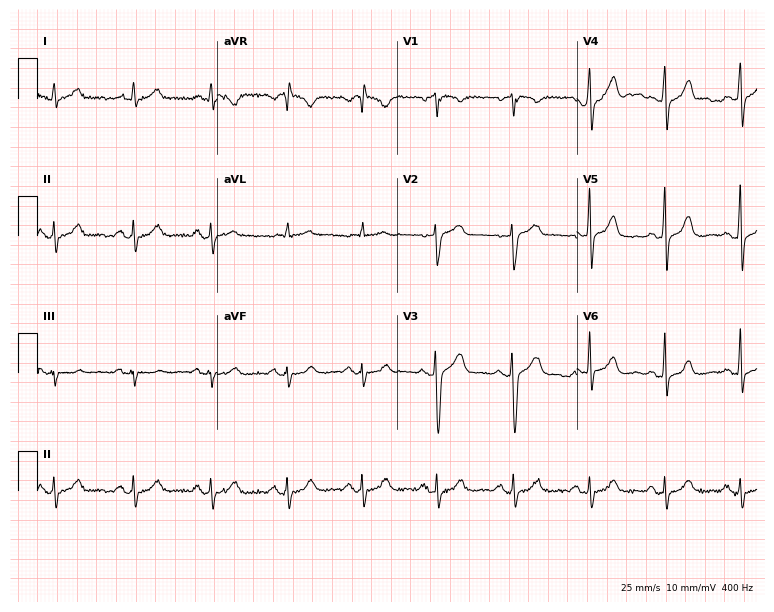
Resting 12-lead electrocardiogram. Patient: a male, 58 years old. Read as a normal ECG.